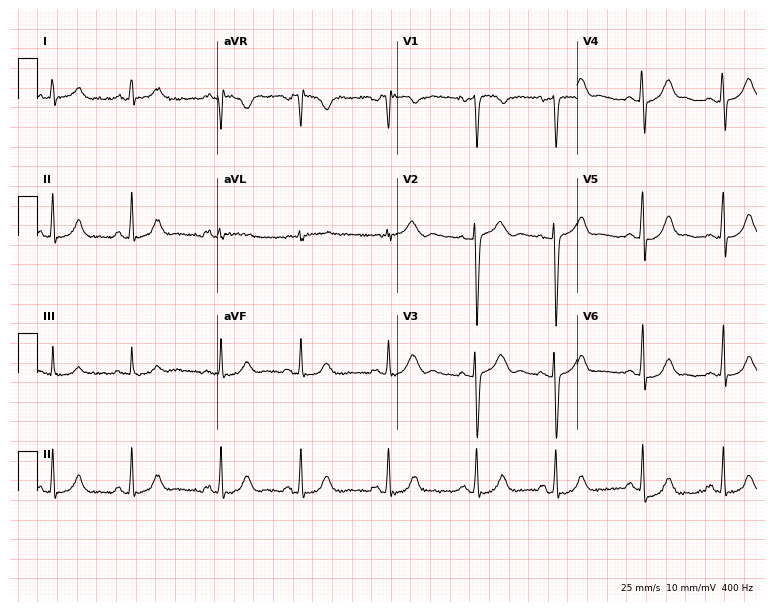
12-lead ECG from a 19-year-old woman. Labelled as a normal ECG.